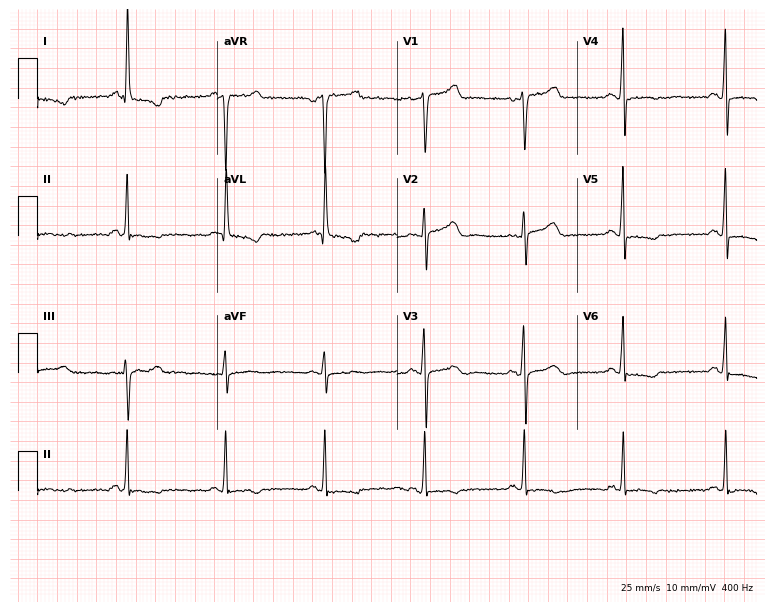
12-lead ECG from a woman, 70 years old. No first-degree AV block, right bundle branch block, left bundle branch block, sinus bradycardia, atrial fibrillation or sinus tachycardia recorded for this tracing.